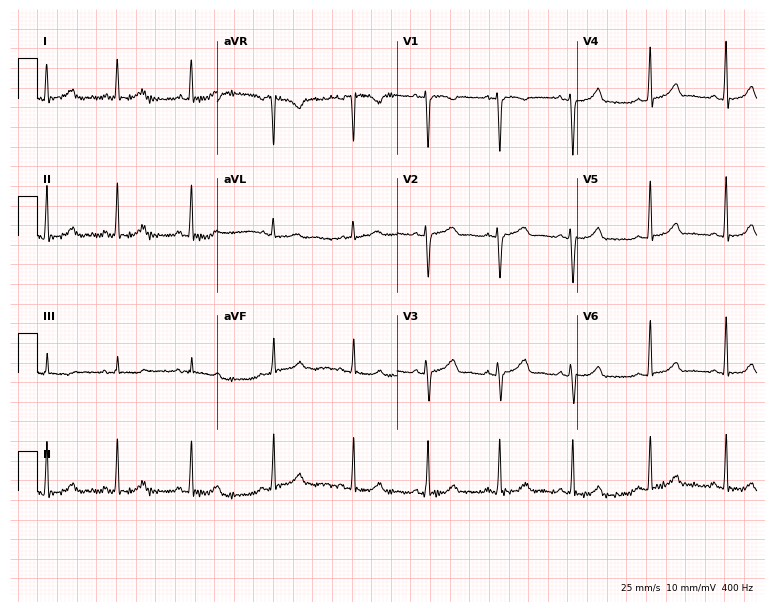
12-lead ECG from a woman, 30 years old. Recorded interpretation: within normal limits.